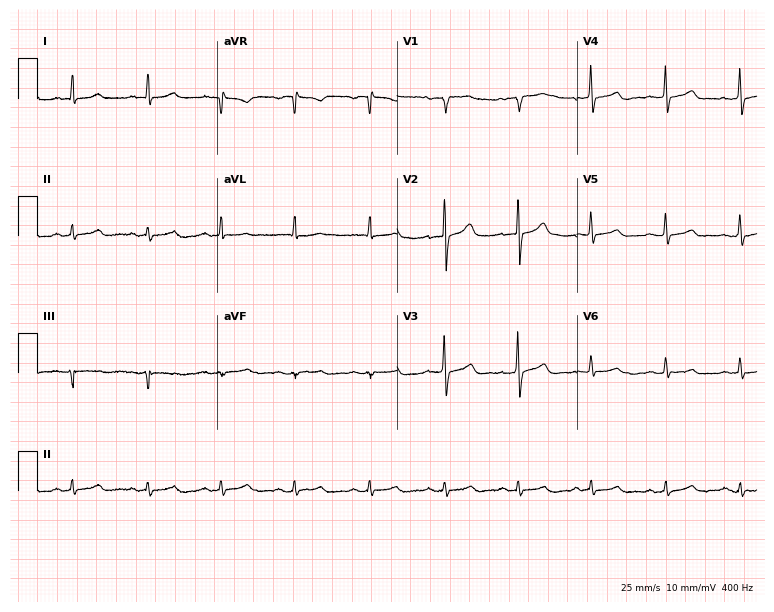
ECG — a male patient, 53 years old. Labelled as a normal ECG.